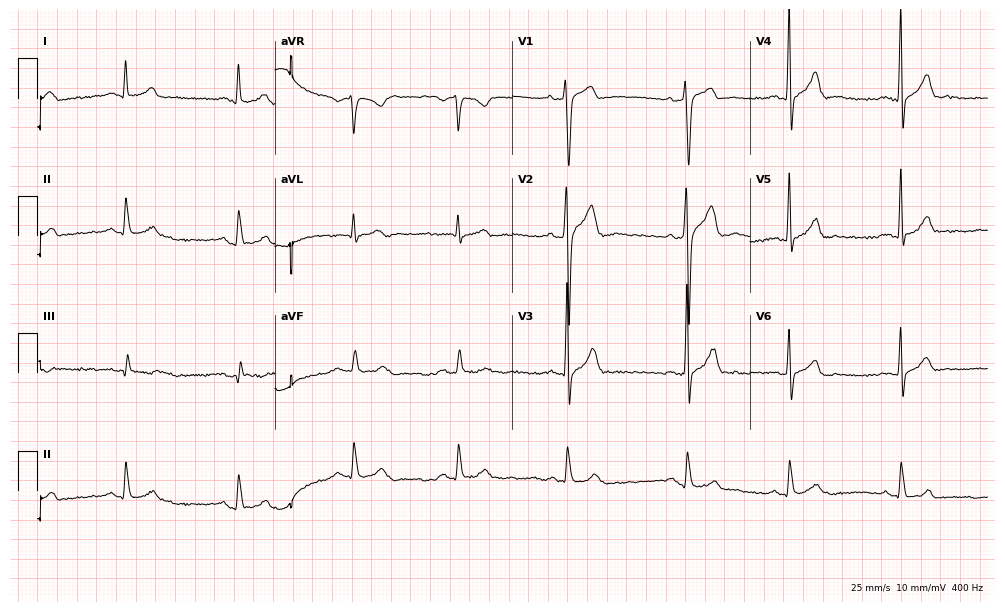
Standard 12-lead ECG recorded from a male, 32 years old. None of these six findings is recorded: first-degree AV block, right bundle branch block (RBBB), left bundle branch block (LBBB), sinus bradycardia, atrial fibrillation (AF), sinus tachycardia.